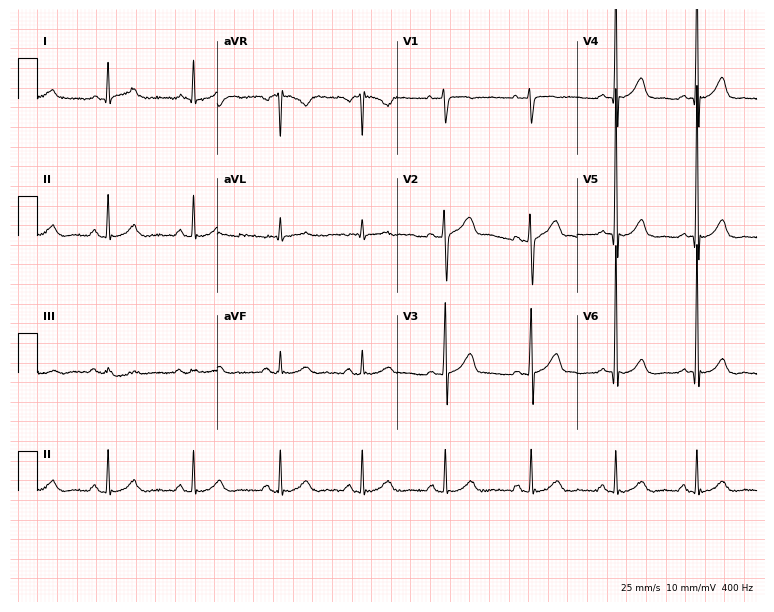
12-lead ECG from a 53-year-old male (7.3-second recording at 400 Hz). Recorded interpretation: within normal limits.